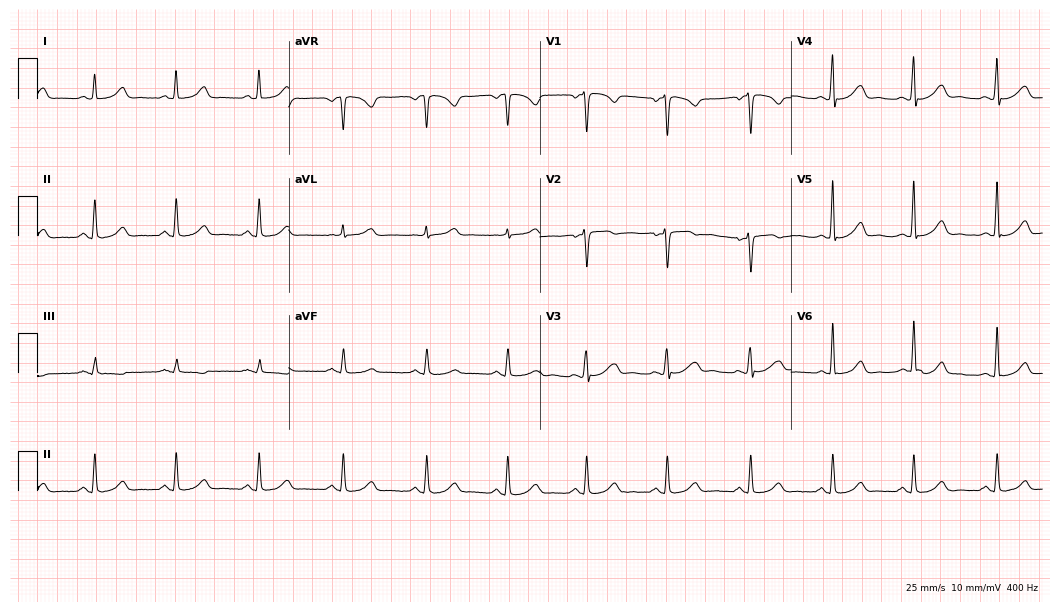
ECG — a 45-year-old female patient. Labelled as a normal ECG.